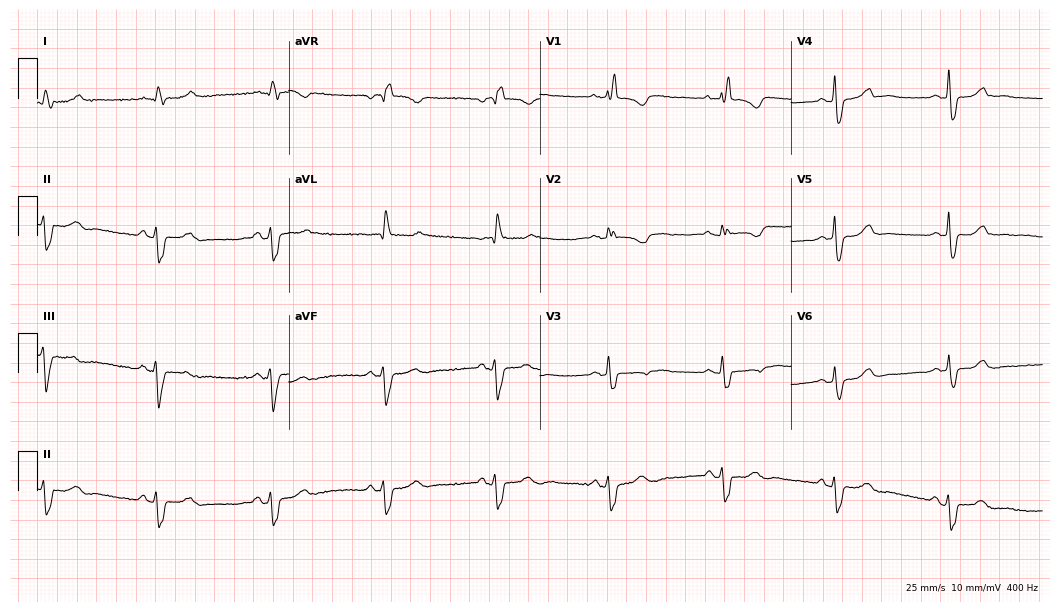
Resting 12-lead electrocardiogram. Patient: a 73-year-old woman. The tracing shows right bundle branch block.